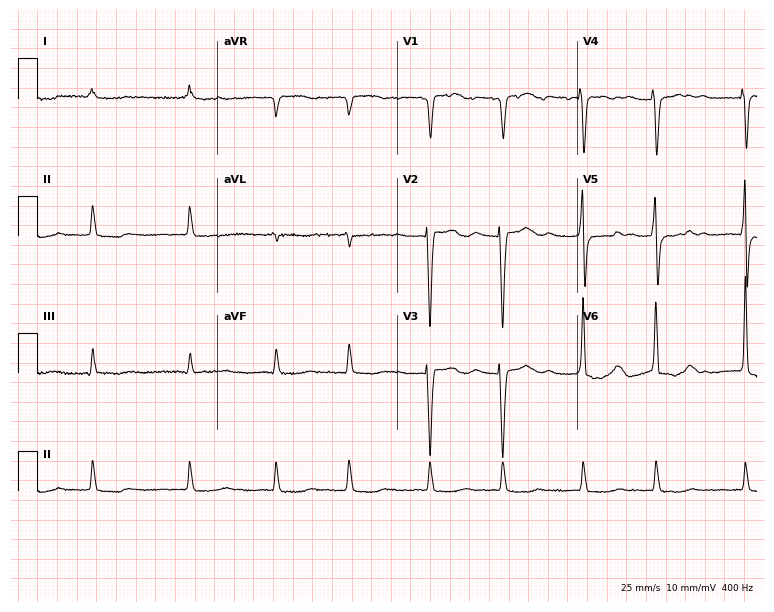
12-lead ECG from a 67-year-old male (7.3-second recording at 400 Hz). Shows atrial fibrillation.